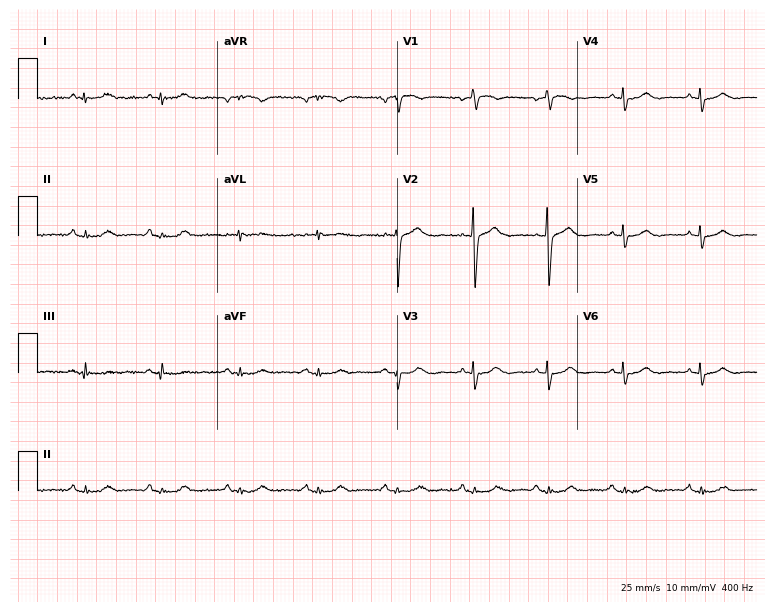
12-lead ECG (7.3-second recording at 400 Hz) from a 67-year-old man. Screened for six findings — first-degree AV block, right bundle branch block, left bundle branch block, sinus bradycardia, atrial fibrillation, sinus tachycardia — none is recorded.